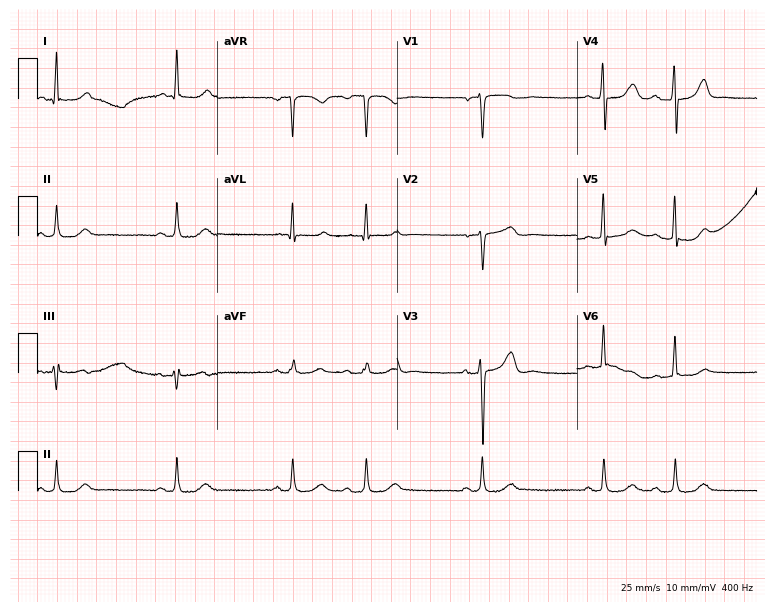
Resting 12-lead electrocardiogram (7.3-second recording at 400 Hz). Patient: a female, 70 years old. None of these six findings is recorded: first-degree AV block, right bundle branch block, left bundle branch block, sinus bradycardia, atrial fibrillation, sinus tachycardia.